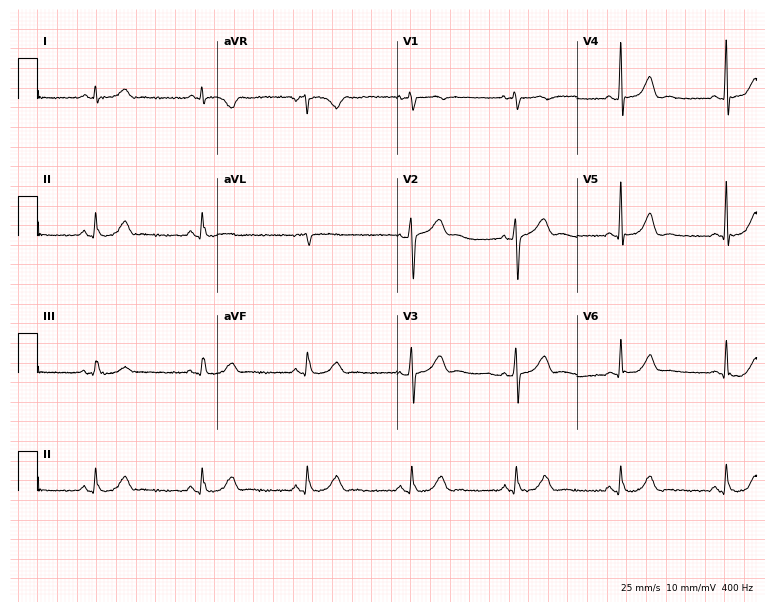
12-lead ECG (7.3-second recording at 400 Hz) from a 62-year-old man. Screened for six findings — first-degree AV block, right bundle branch block (RBBB), left bundle branch block (LBBB), sinus bradycardia, atrial fibrillation (AF), sinus tachycardia — none is recorded. Other findings, if any, are not listed.